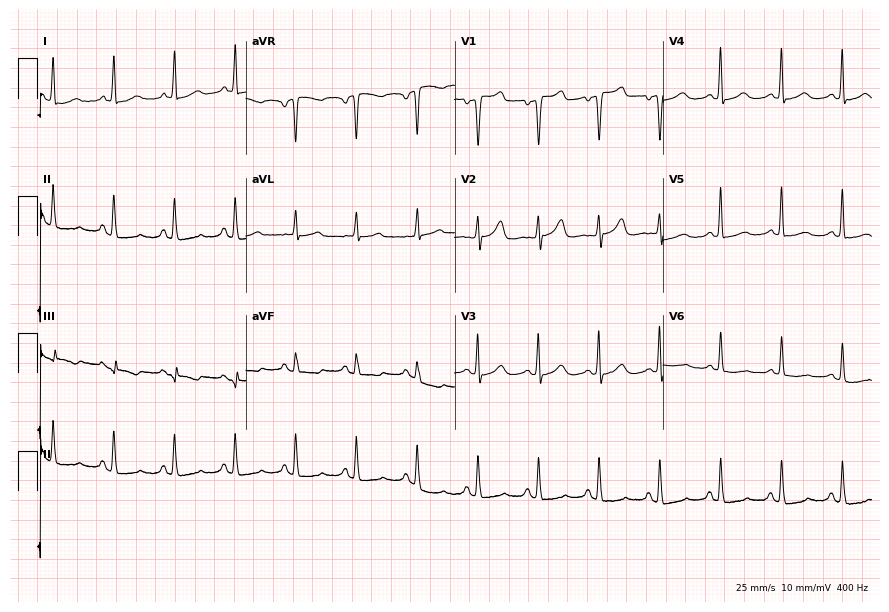
Resting 12-lead electrocardiogram (8.5-second recording at 400 Hz). Patient: a 65-year-old female. None of these six findings is recorded: first-degree AV block, right bundle branch block, left bundle branch block, sinus bradycardia, atrial fibrillation, sinus tachycardia.